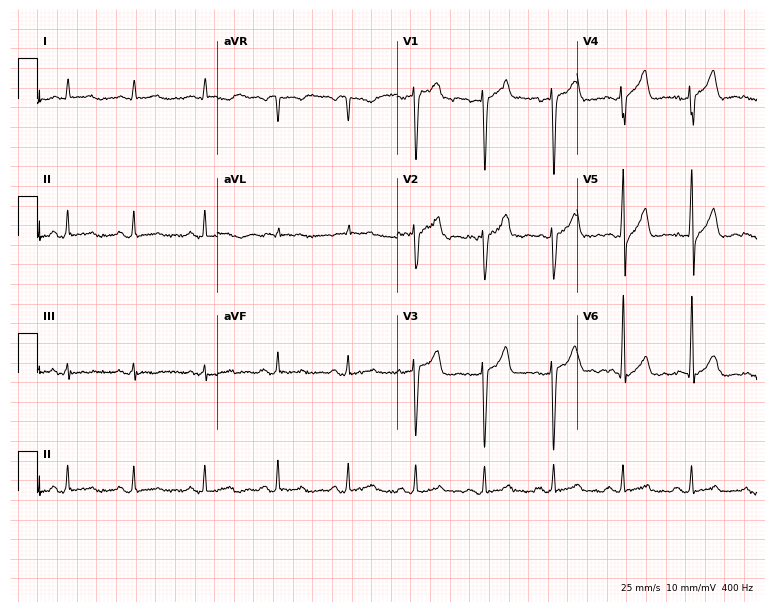
12-lead ECG from a woman, 38 years old. Labelled as a normal ECG.